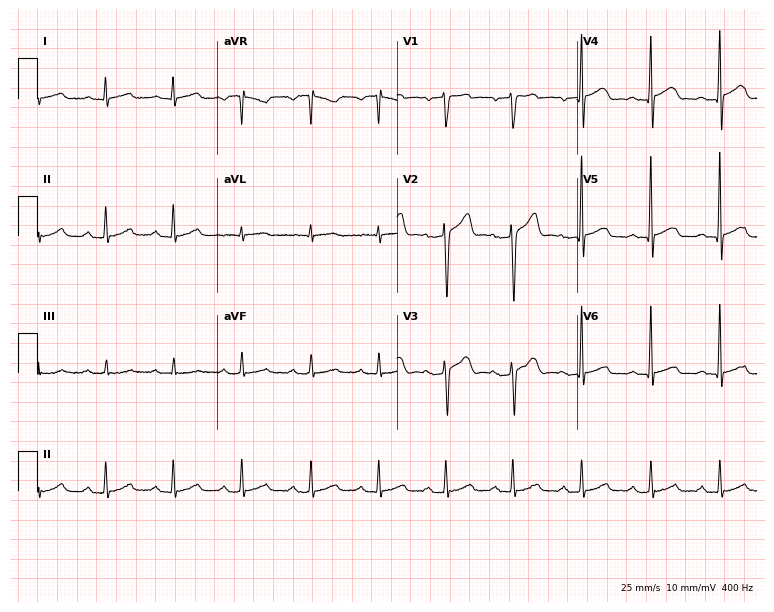
12-lead ECG from a male patient, 54 years old. Labelled as a normal ECG.